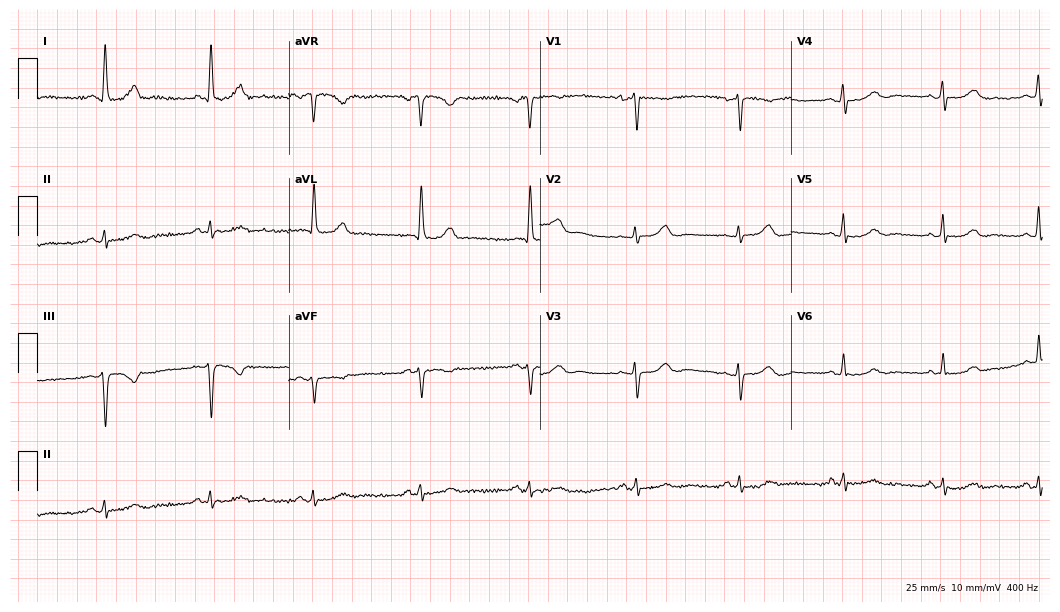
Electrocardiogram, a 59-year-old female patient. Overall reading on record: normal ECG.